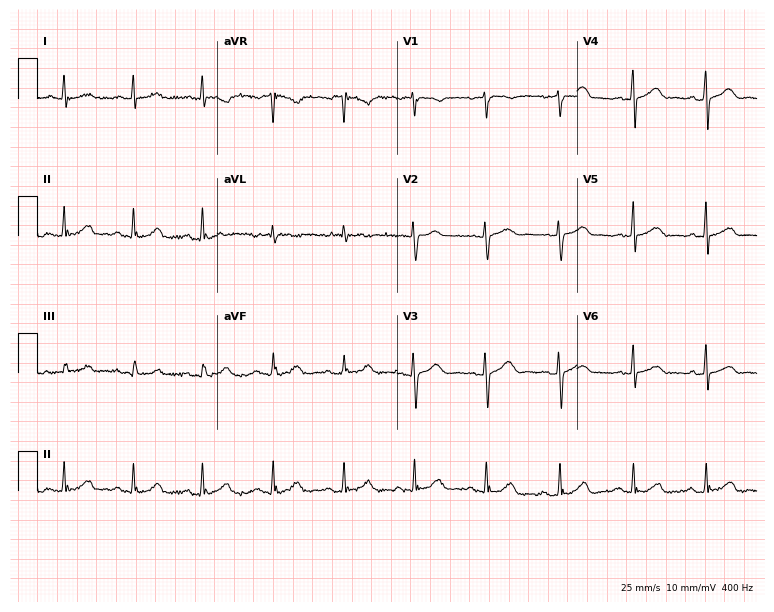
ECG — a woman, 55 years old. Labelled as a normal ECG.